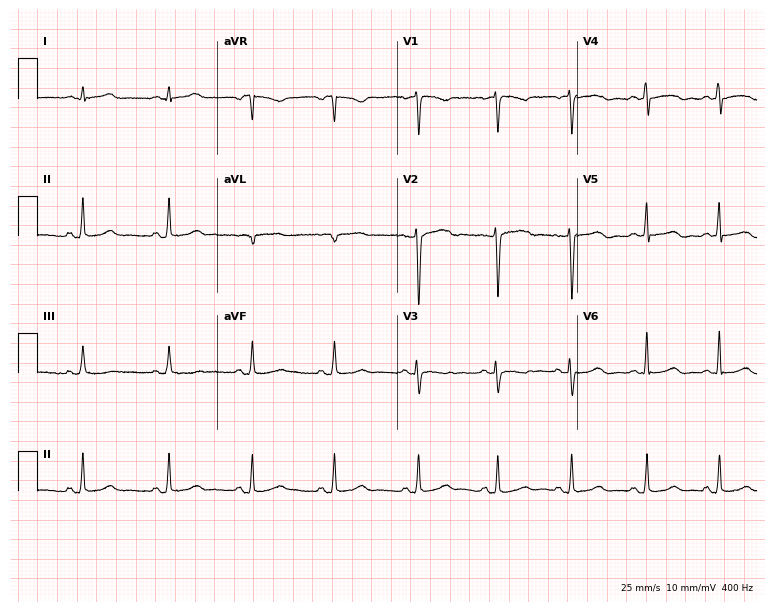
Electrocardiogram (7.3-second recording at 400 Hz), a woman, 35 years old. Of the six screened findings (first-degree AV block, right bundle branch block (RBBB), left bundle branch block (LBBB), sinus bradycardia, atrial fibrillation (AF), sinus tachycardia), none is recorded. Findings outside these six are not listed.